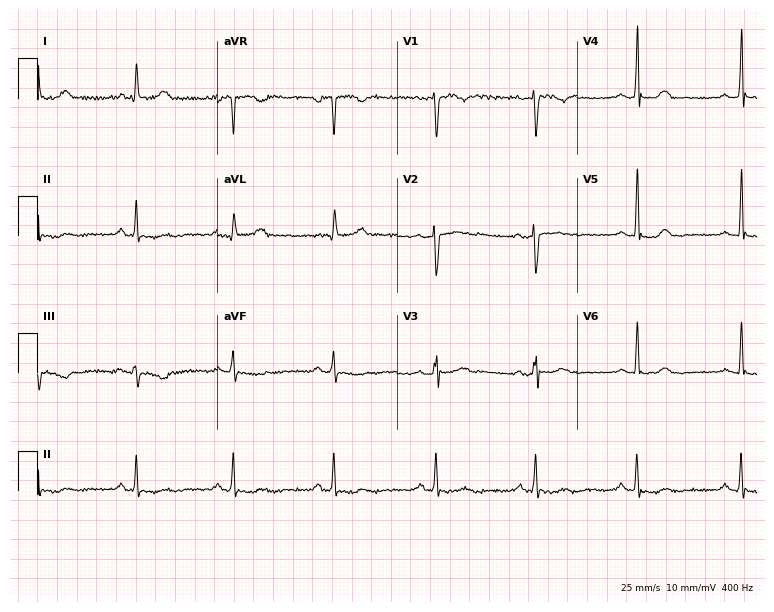
12-lead ECG from a female, 54 years old (7.3-second recording at 400 Hz). Recorded interpretation: within normal limits.